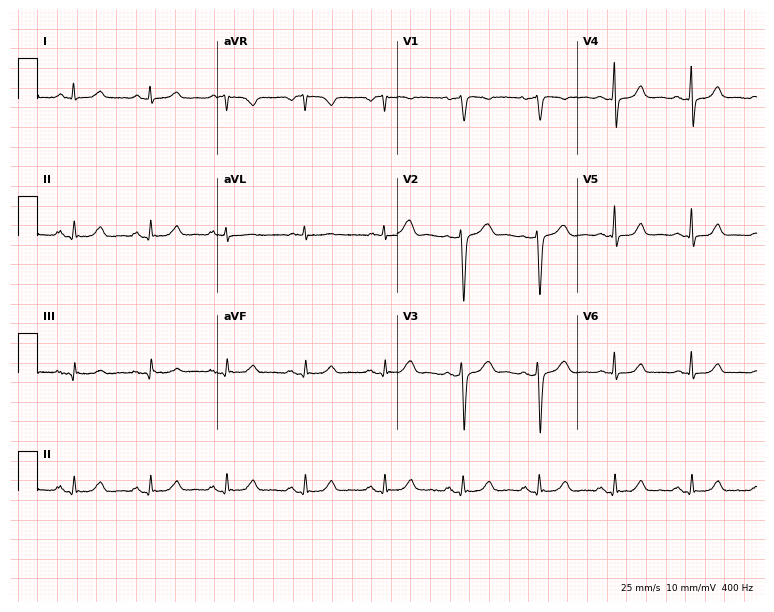
Electrocardiogram (7.3-second recording at 400 Hz), a 46-year-old woman. Of the six screened findings (first-degree AV block, right bundle branch block (RBBB), left bundle branch block (LBBB), sinus bradycardia, atrial fibrillation (AF), sinus tachycardia), none is recorded. Only these six findings were labelled.